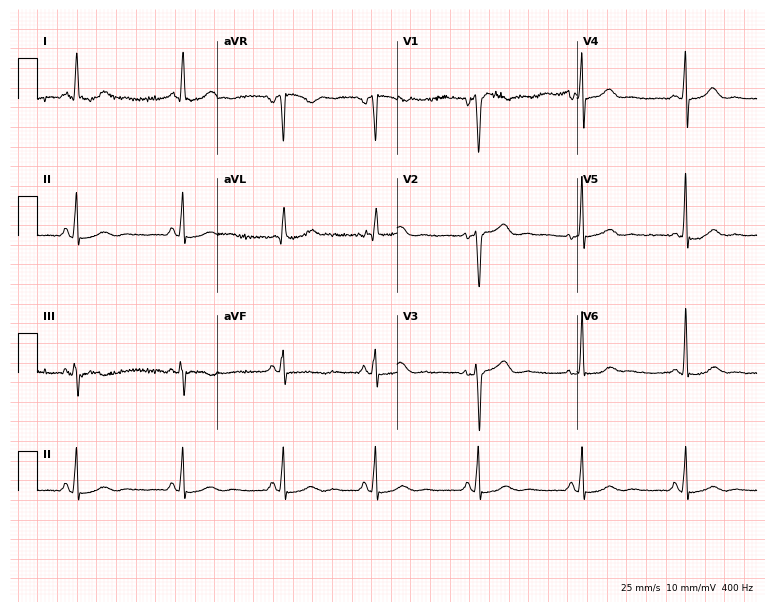
ECG (7.3-second recording at 400 Hz) — a woman, 50 years old. Screened for six findings — first-degree AV block, right bundle branch block, left bundle branch block, sinus bradycardia, atrial fibrillation, sinus tachycardia — none is recorded. Other findings, if any, are not listed.